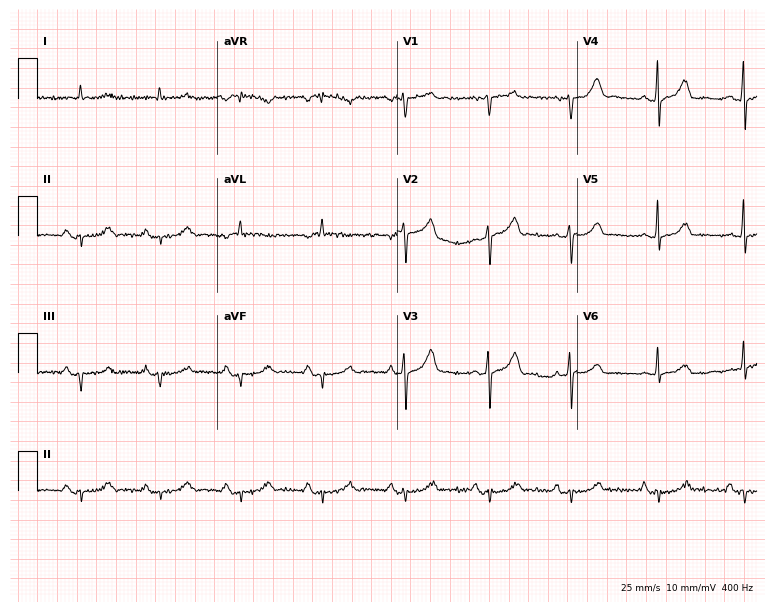
Resting 12-lead electrocardiogram (7.3-second recording at 400 Hz). Patient: a male, 72 years old. None of these six findings is recorded: first-degree AV block, right bundle branch block, left bundle branch block, sinus bradycardia, atrial fibrillation, sinus tachycardia. Other findings, if any, are not listed.